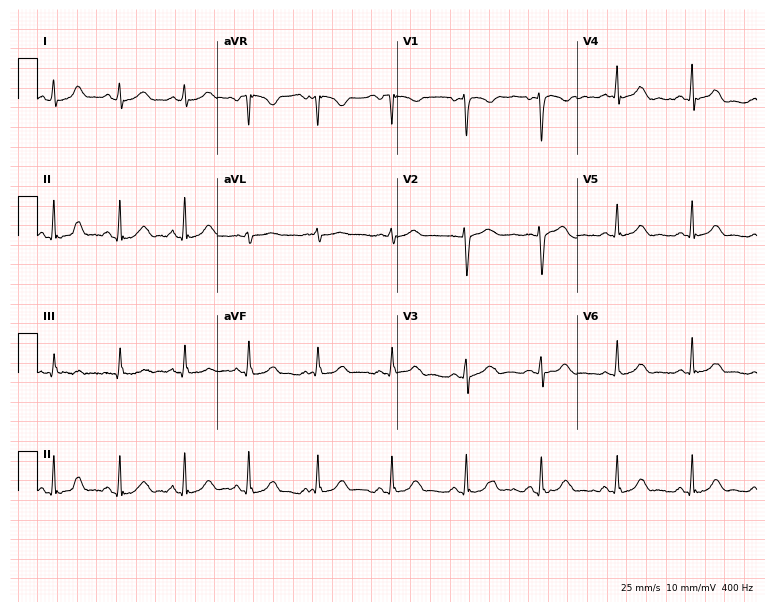
ECG — a woman, 46 years old. Labelled as a normal ECG.